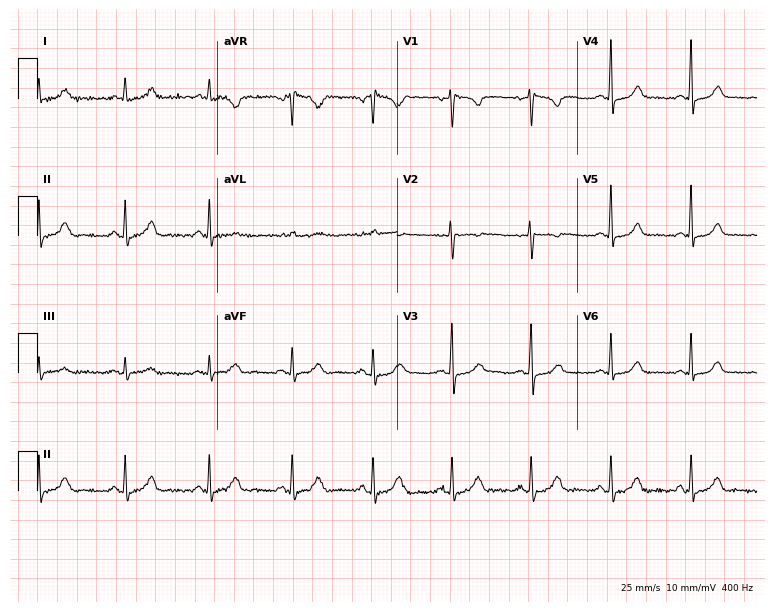
ECG — a 37-year-old woman. Labelled as a normal ECG.